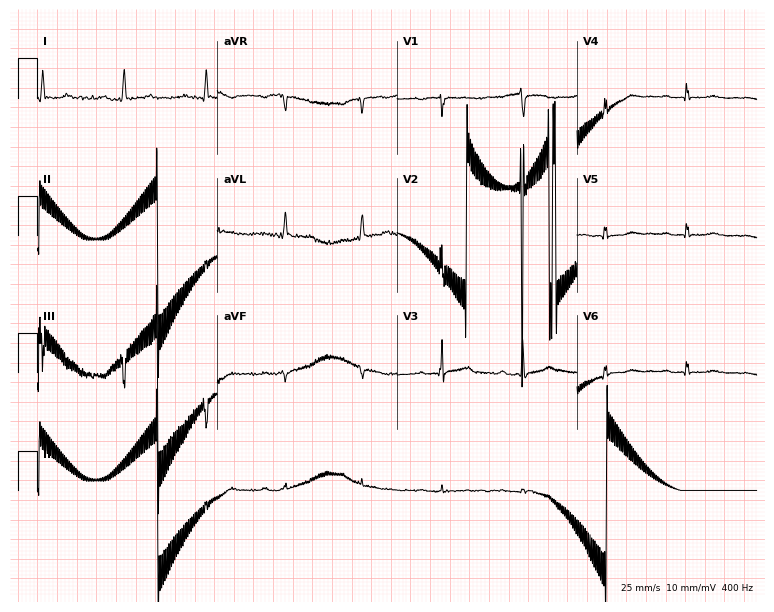
12-lead ECG from an 84-year-old female. Findings include first-degree AV block.